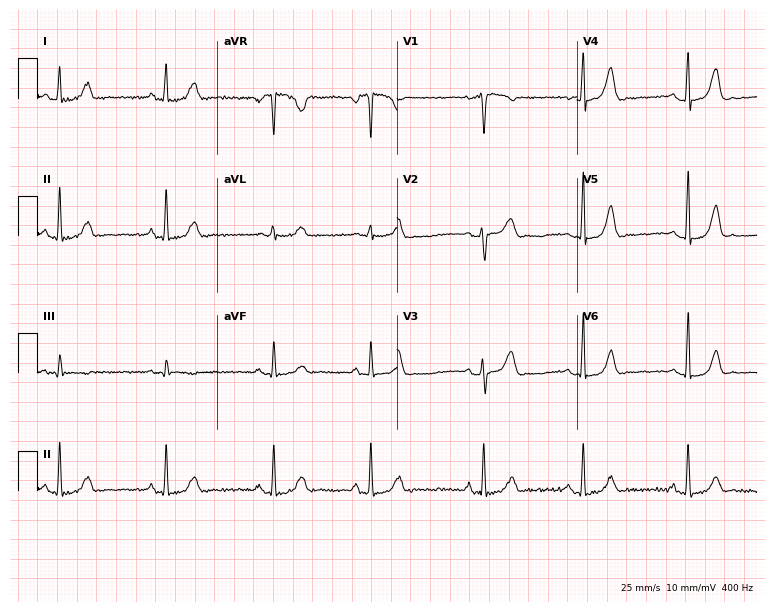
Electrocardiogram (7.3-second recording at 400 Hz), a female patient, 28 years old. Overall reading on record: normal ECG.